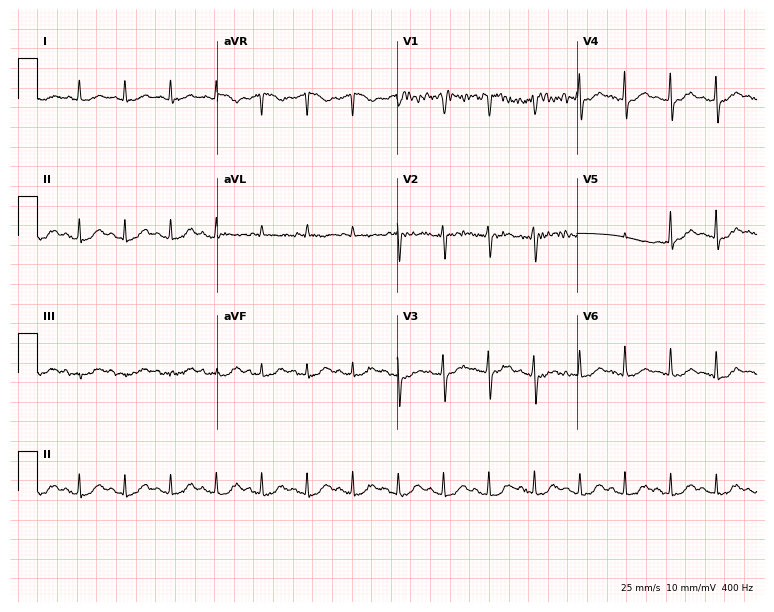
12-lead ECG from a 69-year-old male patient (7.3-second recording at 400 Hz). No first-degree AV block, right bundle branch block (RBBB), left bundle branch block (LBBB), sinus bradycardia, atrial fibrillation (AF) or sinus tachycardia recorded for this tracing. Only these six findings were labelled.